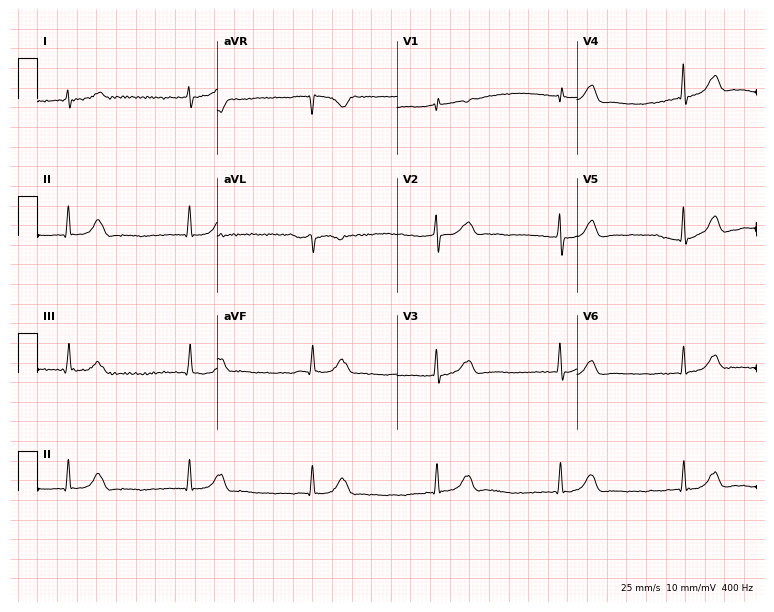
12-lead ECG from a woman, 61 years old (7.3-second recording at 400 Hz). No first-degree AV block, right bundle branch block, left bundle branch block, sinus bradycardia, atrial fibrillation or sinus tachycardia recorded for this tracing.